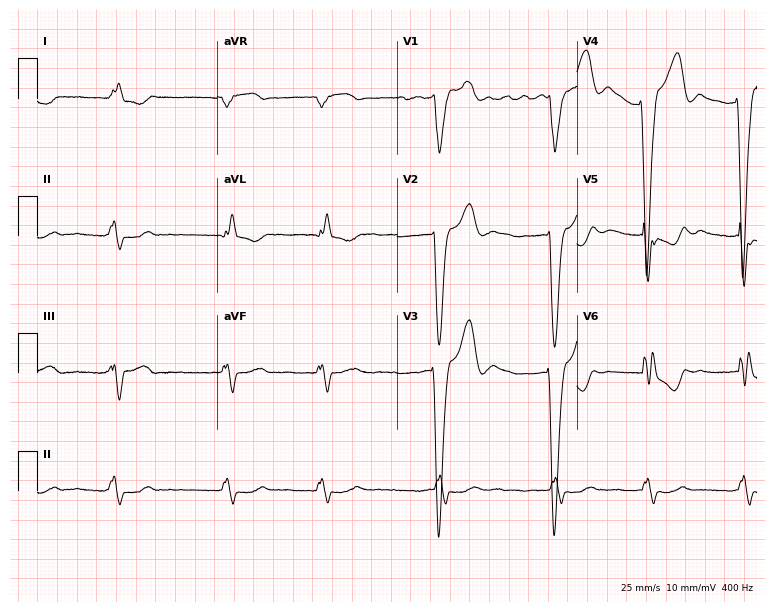
Electrocardiogram, an 83-year-old man. Interpretation includes left bundle branch block (LBBB), atrial fibrillation (AF).